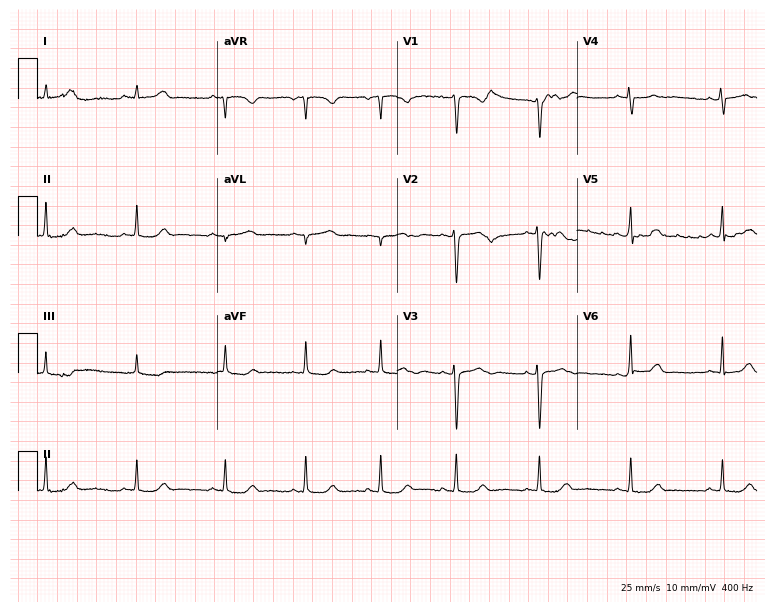
12-lead ECG from a 19-year-old woman. Recorded interpretation: within normal limits.